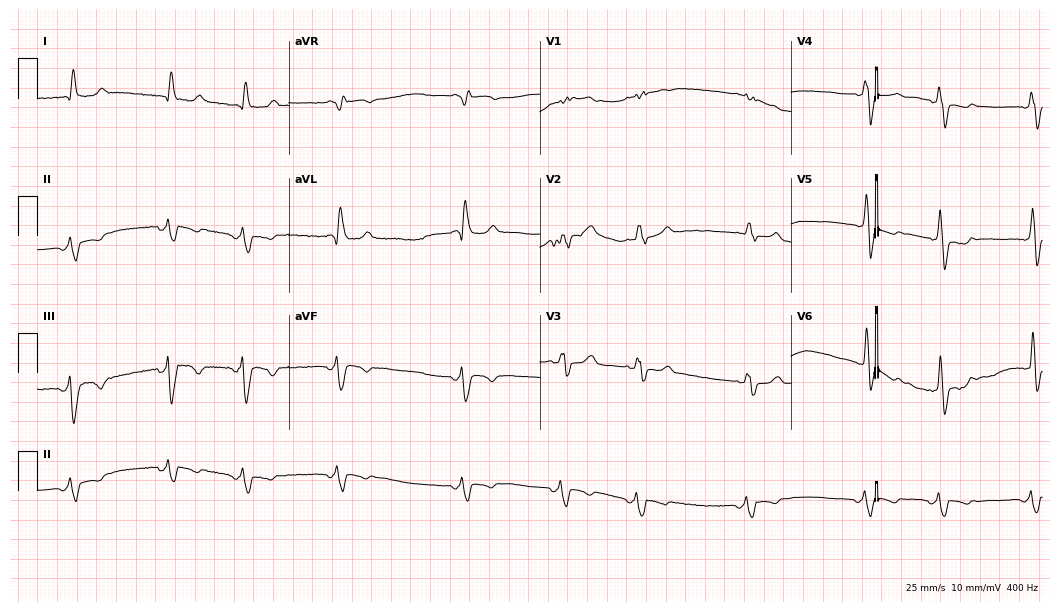
Standard 12-lead ECG recorded from a 65-year-old man (10.2-second recording at 400 Hz). None of these six findings is recorded: first-degree AV block, right bundle branch block (RBBB), left bundle branch block (LBBB), sinus bradycardia, atrial fibrillation (AF), sinus tachycardia. Only these six findings were labelled.